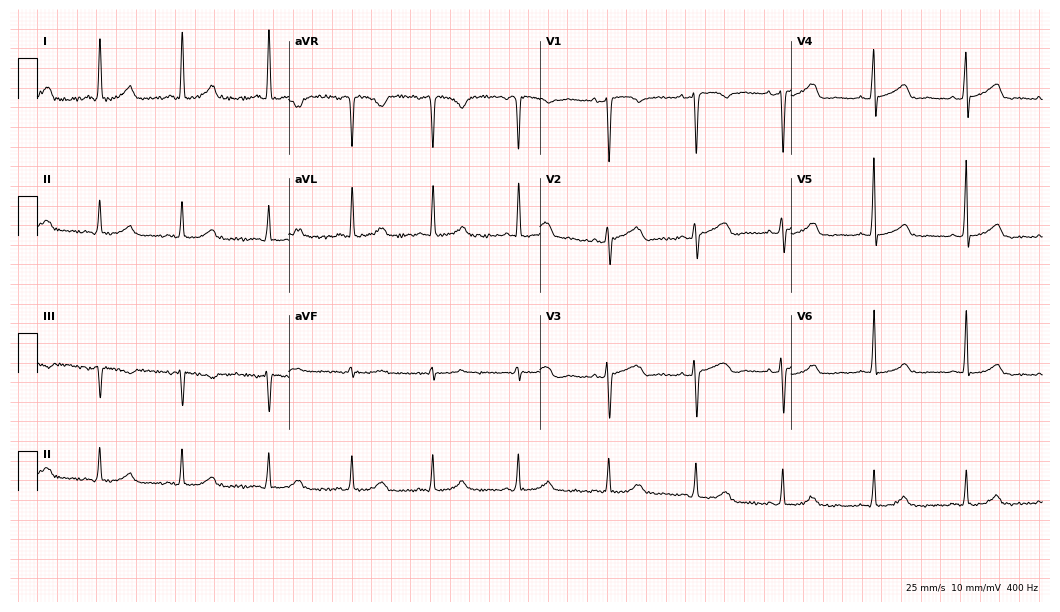
12-lead ECG from a female patient, 36 years old. Recorded interpretation: within normal limits.